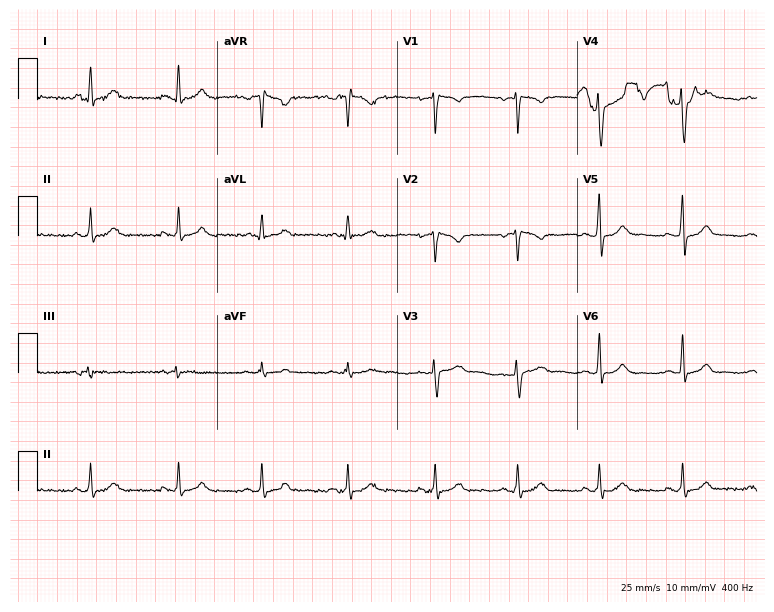
12-lead ECG from a 27-year-old female patient. Recorded interpretation: within normal limits.